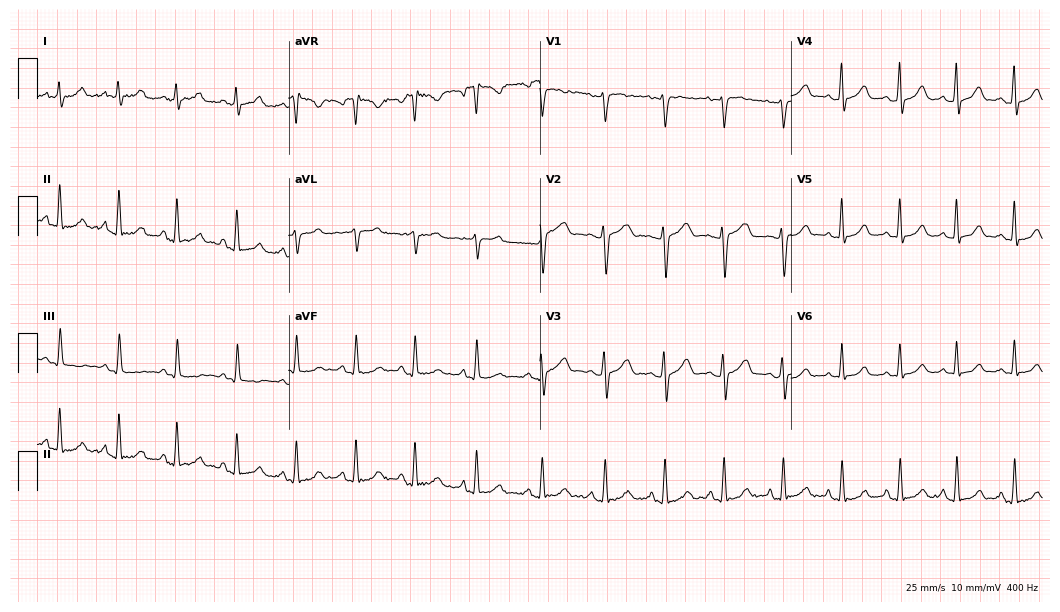
12-lead ECG from a female, 20 years old. No first-degree AV block, right bundle branch block, left bundle branch block, sinus bradycardia, atrial fibrillation or sinus tachycardia recorded for this tracing.